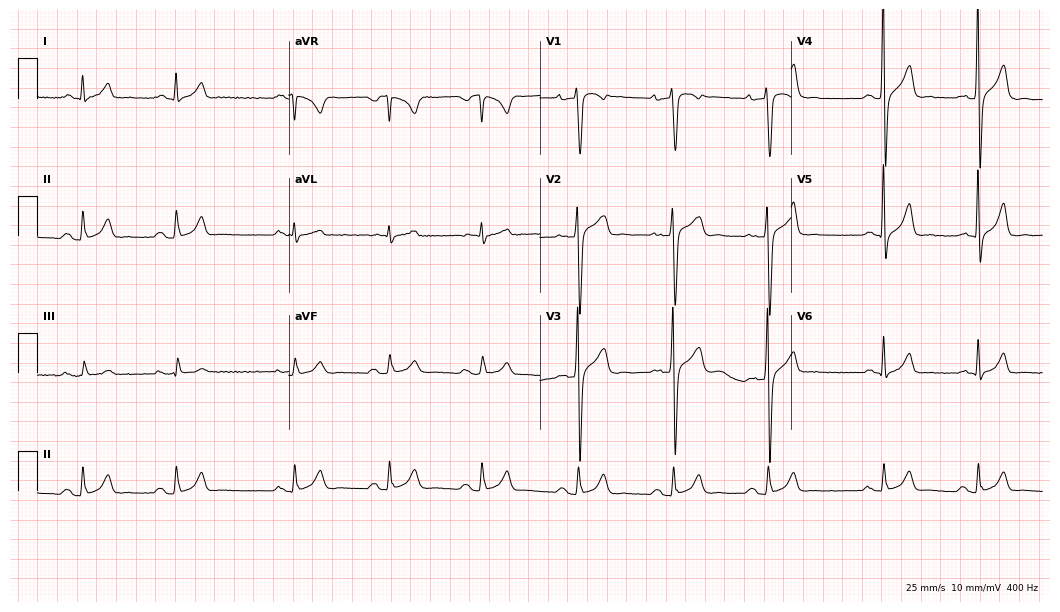
Resting 12-lead electrocardiogram. Patient: a 25-year-old male. None of these six findings is recorded: first-degree AV block, right bundle branch block, left bundle branch block, sinus bradycardia, atrial fibrillation, sinus tachycardia. Other findings, if any, are not listed.